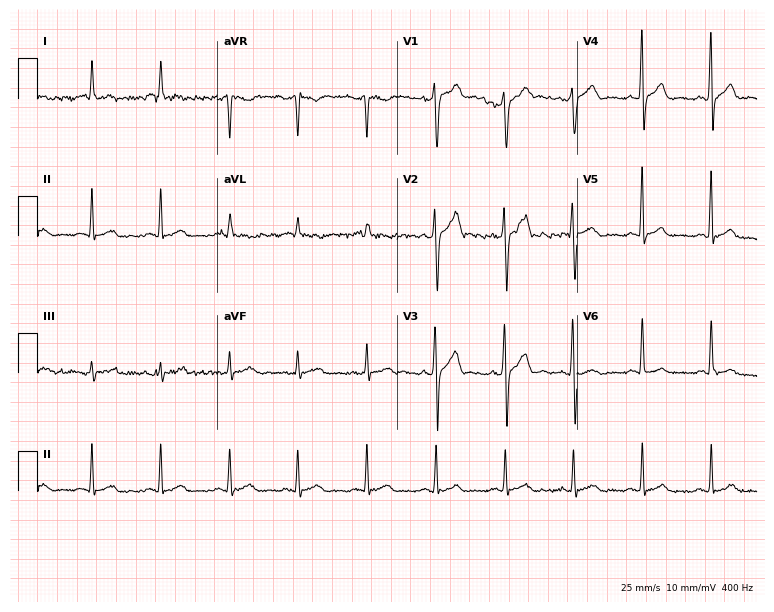
Standard 12-lead ECG recorded from a male patient, 42 years old. Read as a normal ECG.